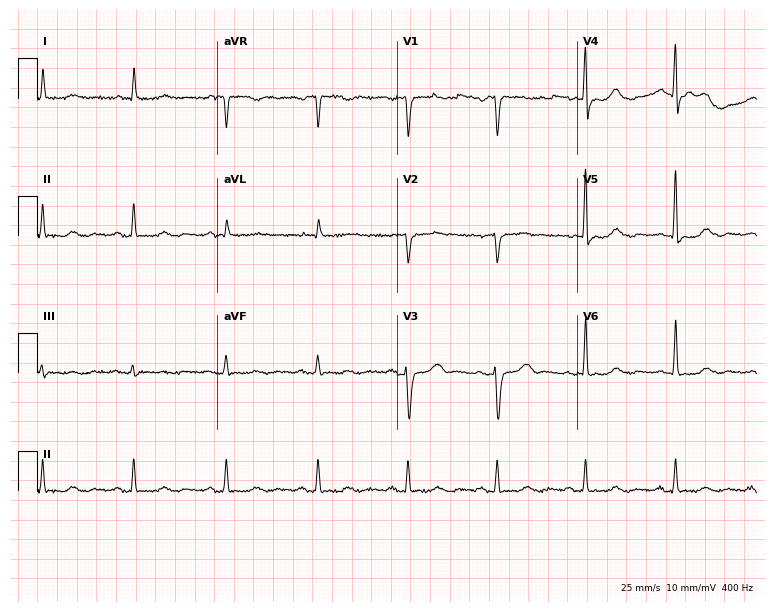
Resting 12-lead electrocardiogram (7.3-second recording at 400 Hz). Patient: a woman, 70 years old. None of these six findings is recorded: first-degree AV block, right bundle branch block, left bundle branch block, sinus bradycardia, atrial fibrillation, sinus tachycardia.